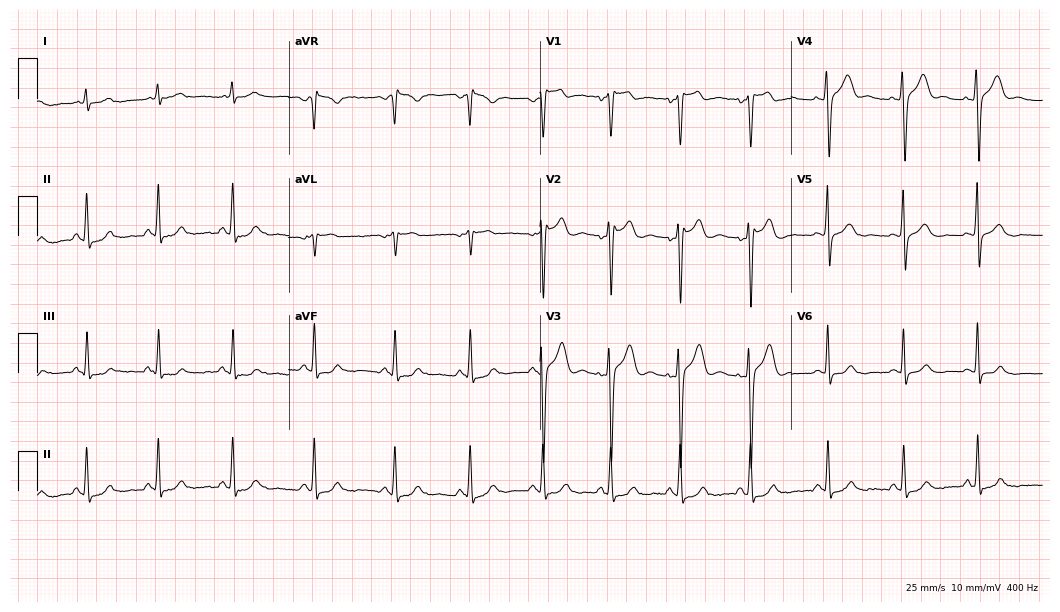
ECG — a 29-year-old man. Labelled as a normal ECG.